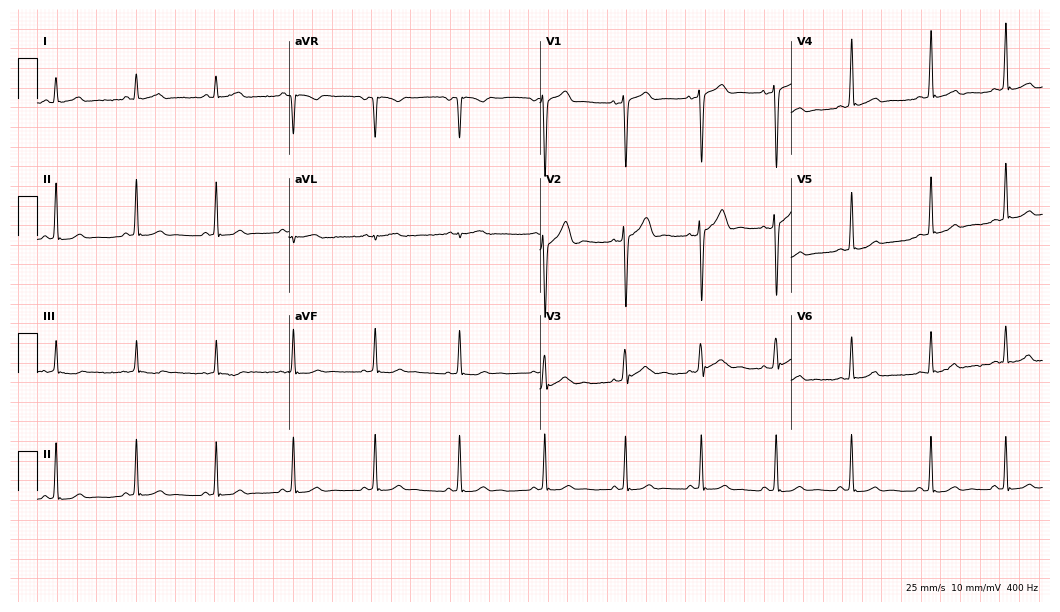
Standard 12-lead ECG recorded from a 23-year-old male patient. Read as a normal ECG.